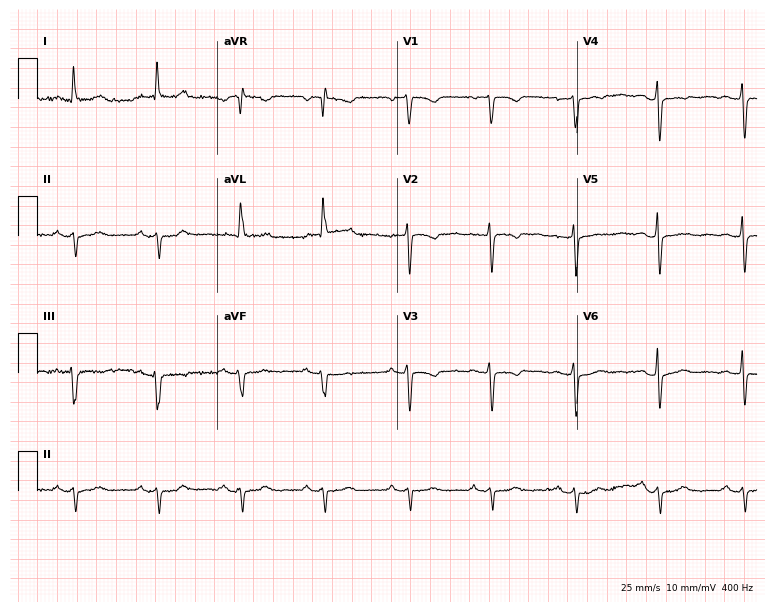
Electrocardiogram (7.3-second recording at 400 Hz), a female patient, 72 years old. Of the six screened findings (first-degree AV block, right bundle branch block (RBBB), left bundle branch block (LBBB), sinus bradycardia, atrial fibrillation (AF), sinus tachycardia), none is recorded.